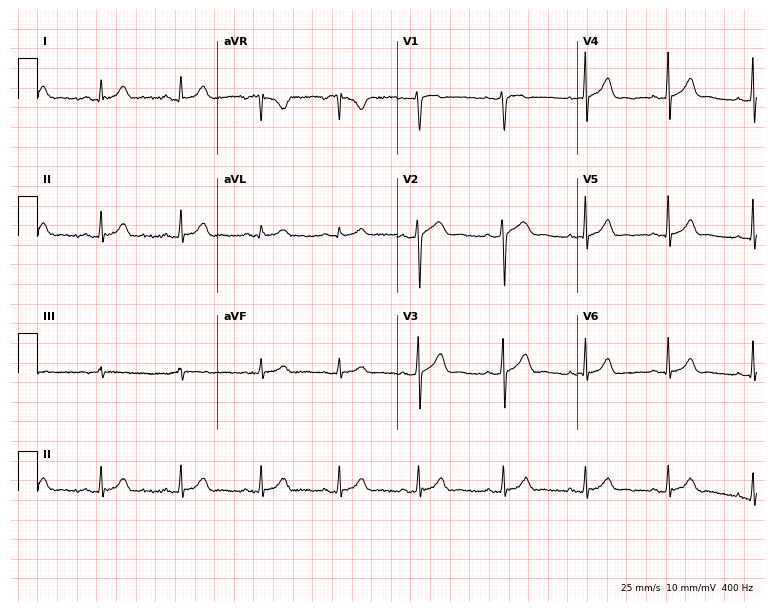
Electrocardiogram, a man, 21 years old. Overall reading on record: normal ECG.